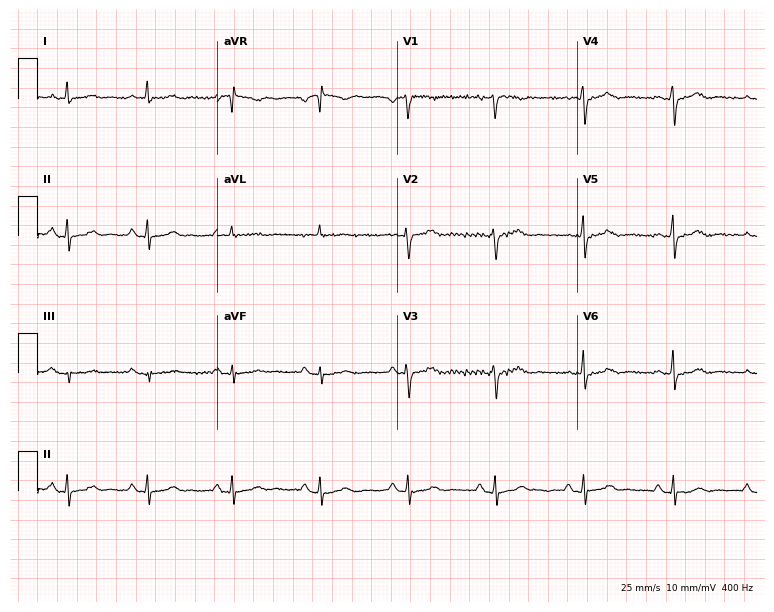
Electrocardiogram (7.3-second recording at 400 Hz), a woman, 30 years old. Of the six screened findings (first-degree AV block, right bundle branch block (RBBB), left bundle branch block (LBBB), sinus bradycardia, atrial fibrillation (AF), sinus tachycardia), none is recorded. Only these six findings were labelled.